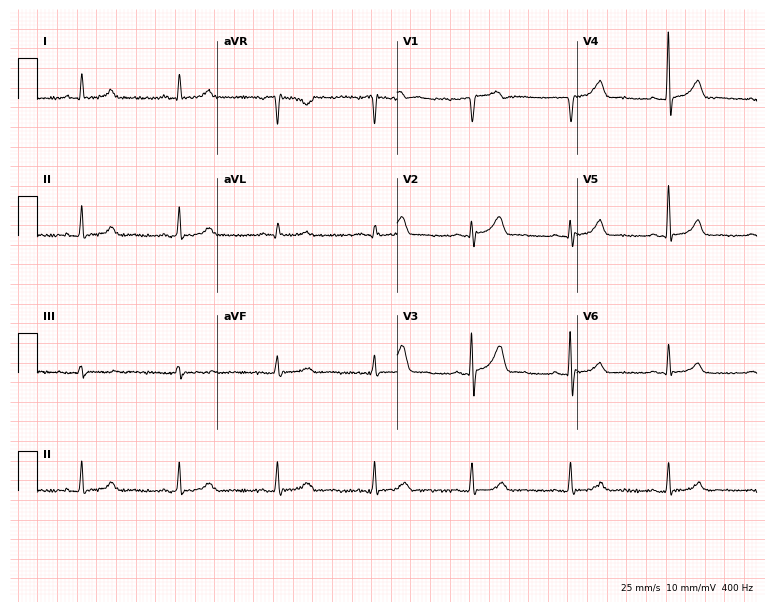
12-lead ECG (7.3-second recording at 400 Hz) from a 55-year-old male patient. Screened for six findings — first-degree AV block, right bundle branch block, left bundle branch block, sinus bradycardia, atrial fibrillation, sinus tachycardia — none is recorded. Findings outside these six are not listed.